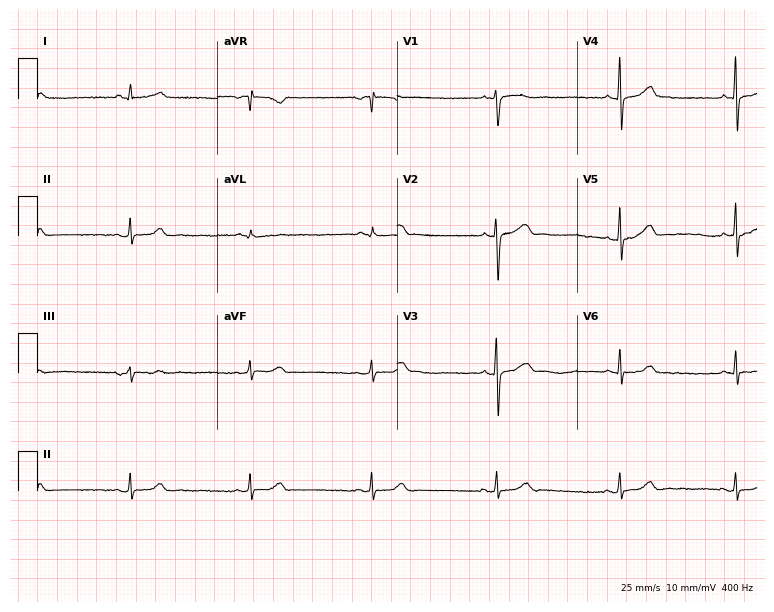
Standard 12-lead ECG recorded from a 21-year-old woman. Read as a normal ECG.